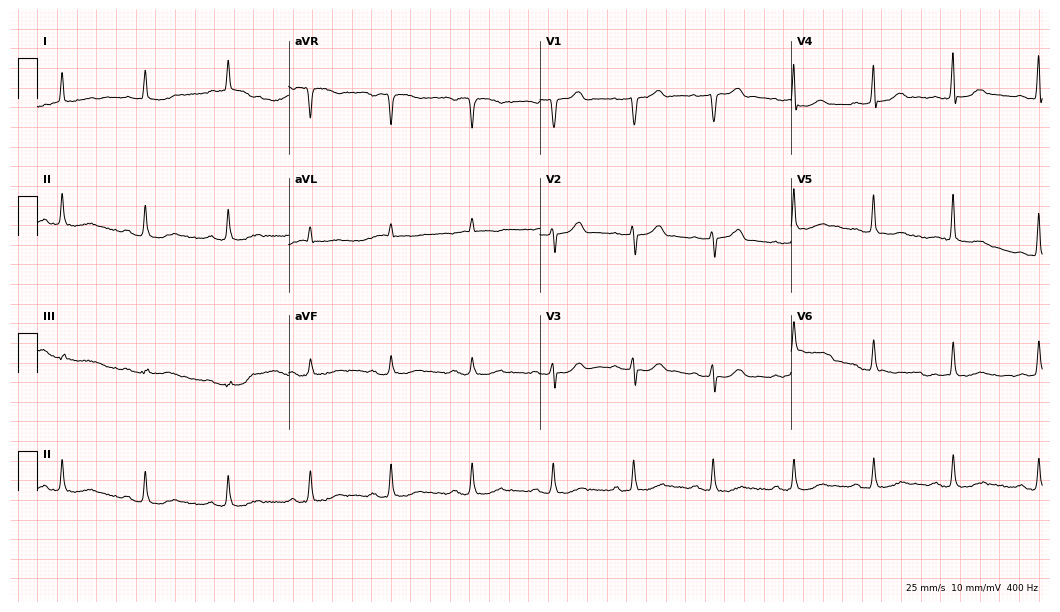
Electrocardiogram, a 72-year-old male patient. Of the six screened findings (first-degree AV block, right bundle branch block, left bundle branch block, sinus bradycardia, atrial fibrillation, sinus tachycardia), none is recorded. Other findings, if any, are not listed.